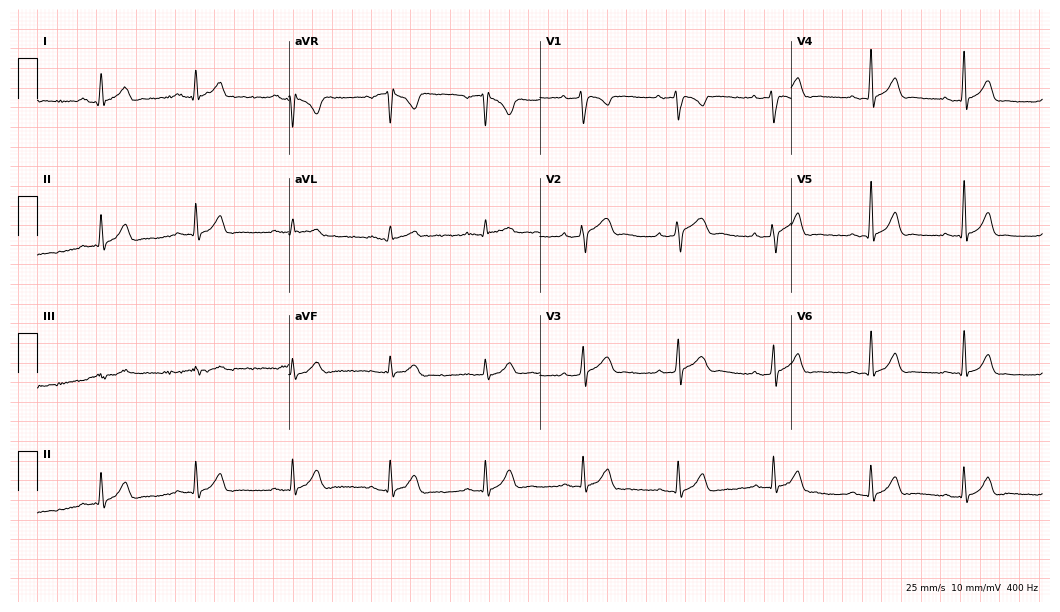
12-lead ECG from a man, 24 years old. Labelled as a normal ECG.